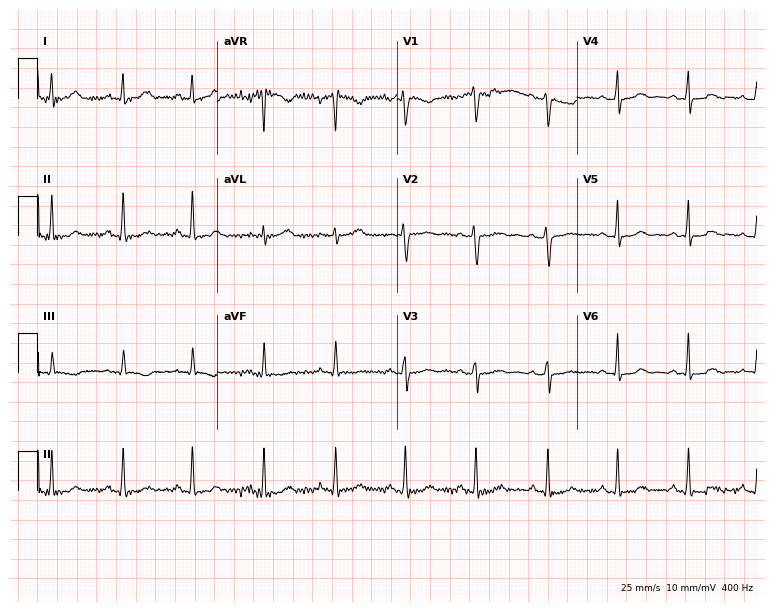
Electrocardiogram, a 40-year-old female. Overall reading on record: normal ECG.